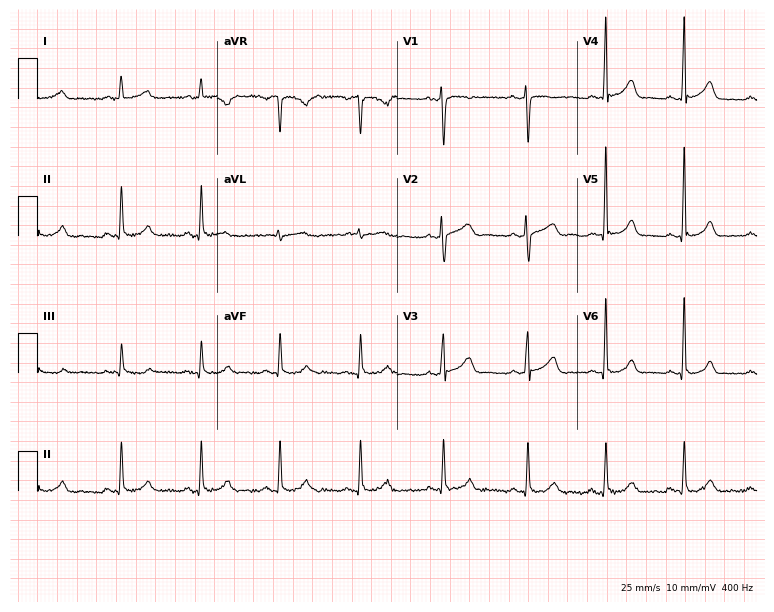
Standard 12-lead ECG recorded from a woman, 33 years old. None of these six findings is recorded: first-degree AV block, right bundle branch block, left bundle branch block, sinus bradycardia, atrial fibrillation, sinus tachycardia. Findings outside these six are not listed.